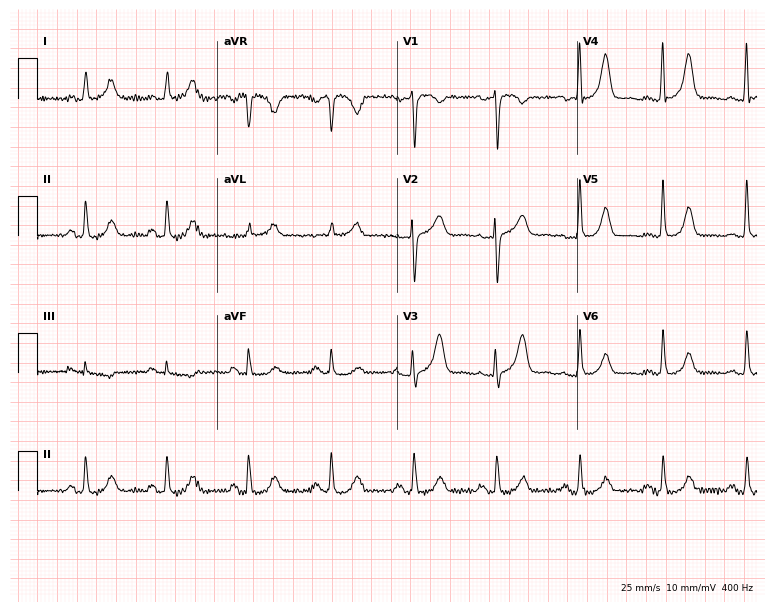
12-lead ECG from a female, 74 years old. Screened for six findings — first-degree AV block, right bundle branch block, left bundle branch block, sinus bradycardia, atrial fibrillation, sinus tachycardia — none is recorded.